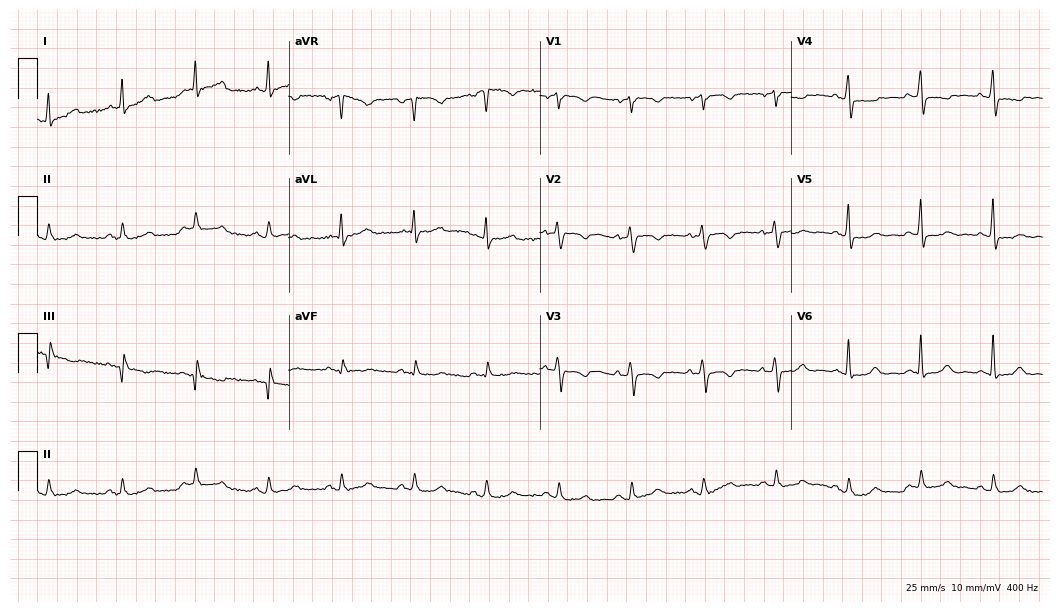
Standard 12-lead ECG recorded from a female, 73 years old (10.2-second recording at 400 Hz). None of these six findings is recorded: first-degree AV block, right bundle branch block, left bundle branch block, sinus bradycardia, atrial fibrillation, sinus tachycardia. Only these six findings were labelled.